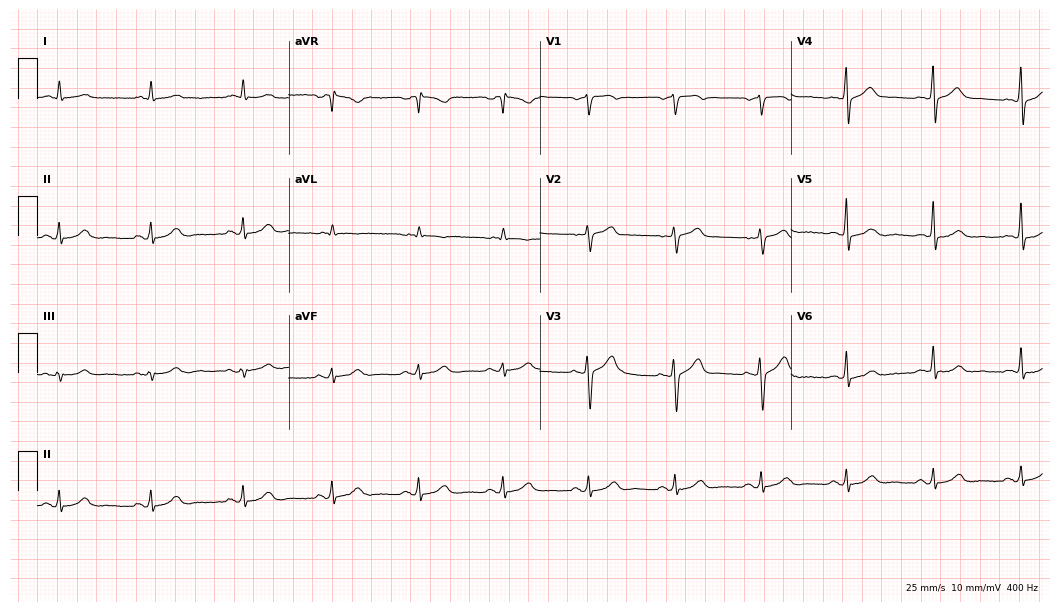
Standard 12-lead ECG recorded from a male patient, 58 years old. Read as a normal ECG.